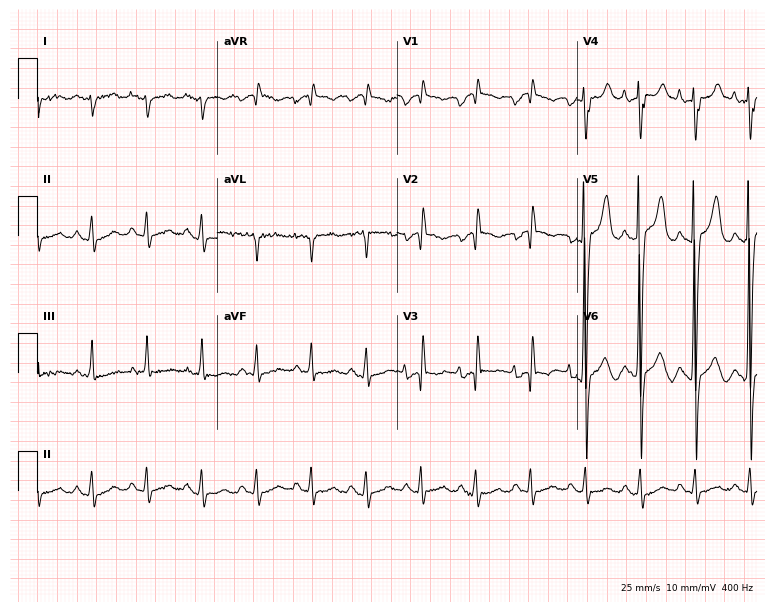
ECG — a male, 43 years old. Findings include sinus tachycardia (a sinus rate of 100 beats per minute or more).